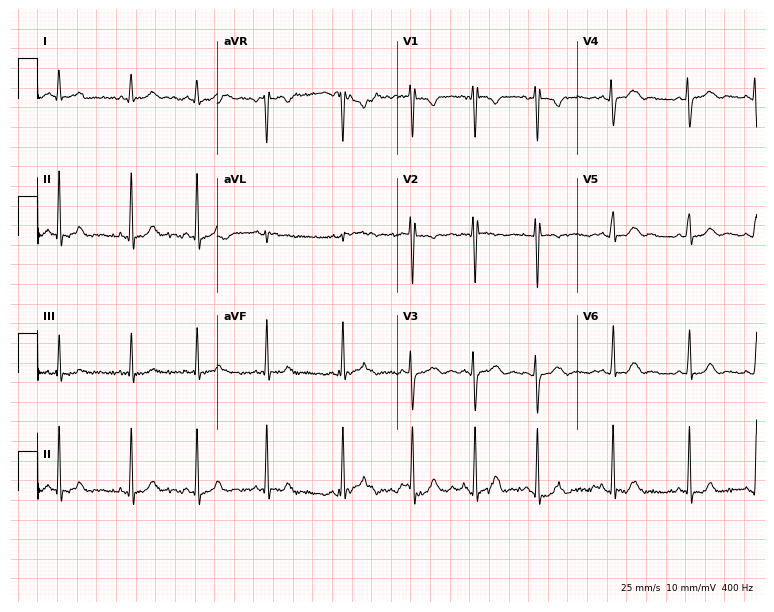
Electrocardiogram, a woman, 19 years old. Of the six screened findings (first-degree AV block, right bundle branch block (RBBB), left bundle branch block (LBBB), sinus bradycardia, atrial fibrillation (AF), sinus tachycardia), none is recorded. Only these six findings were labelled.